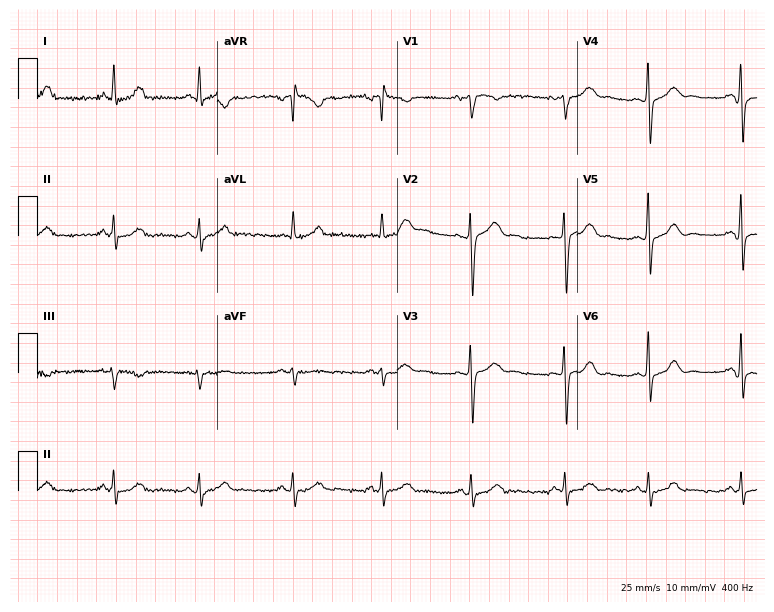
Resting 12-lead electrocardiogram. Patient: a woman, 29 years old. None of these six findings is recorded: first-degree AV block, right bundle branch block, left bundle branch block, sinus bradycardia, atrial fibrillation, sinus tachycardia.